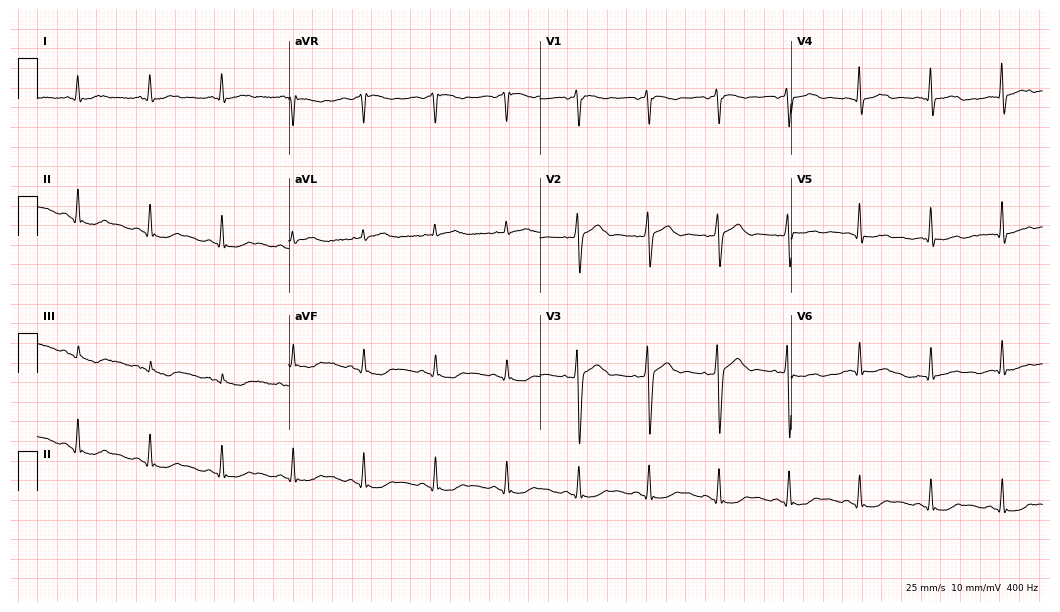
Electrocardiogram (10.2-second recording at 400 Hz), a 56-year-old male patient. Of the six screened findings (first-degree AV block, right bundle branch block (RBBB), left bundle branch block (LBBB), sinus bradycardia, atrial fibrillation (AF), sinus tachycardia), none is recorded.